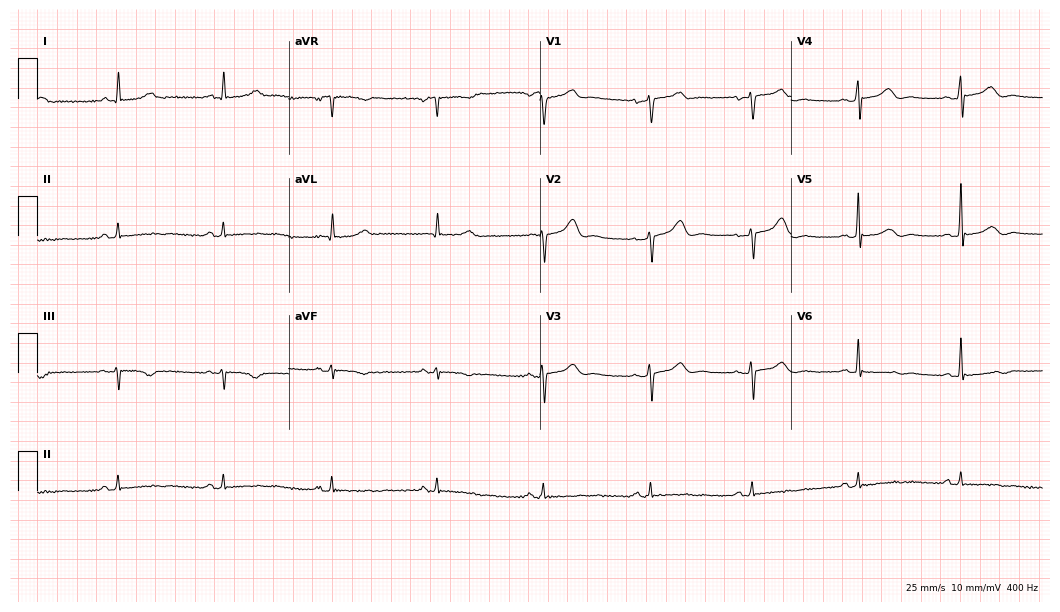
Standard 12-lead ECG recorded from a woman, 54 years old (10.2-second recording at 400 Hz). None of these six findings is recorded: first-degree AV block, right bundle branch block, left bundle branch block, sinus bradycardia, atrial fibrillation, sinus tachycardia. Other findings, if any, are not listed.